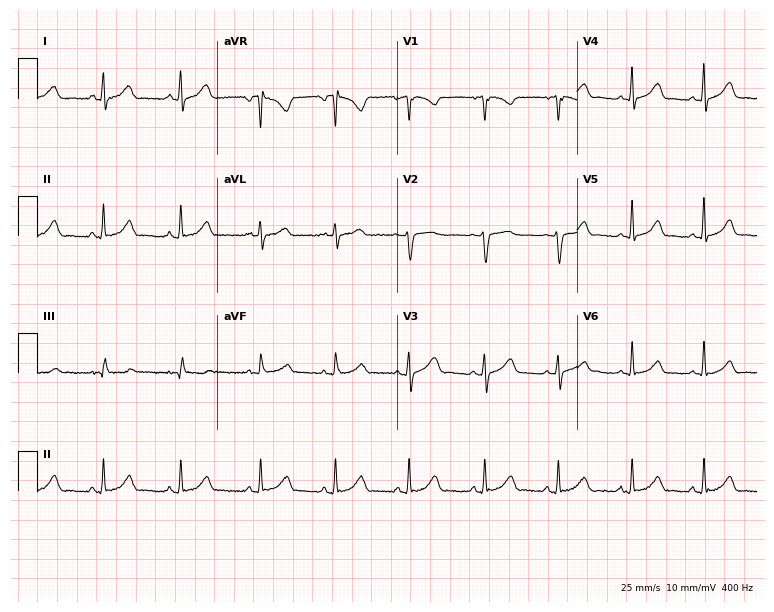
Standard 12-lead ECG recorded from a female patient, 23 years old (7.3-second recording at 400 Hz). Read as a normal ECG.